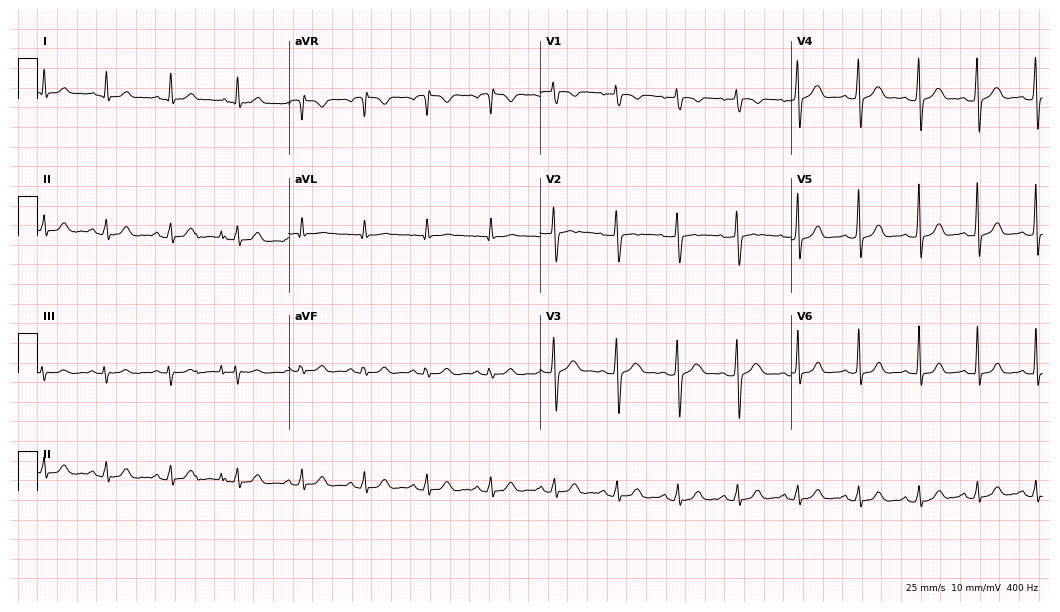
Electrocardiogram (10.2-second recording at 400 Hz), a 42-year-old female patient. Overall reading on record: normal ECG.